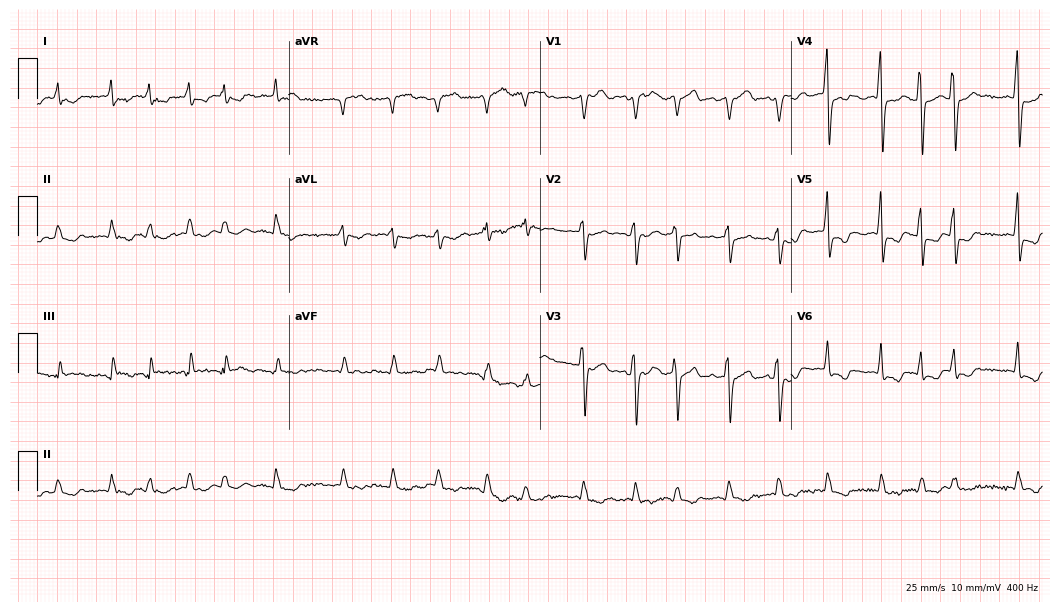
12-lead ECG from a female, 52 years old (10.2-second recording at 400 Hz). Shows atrial fibrillation.